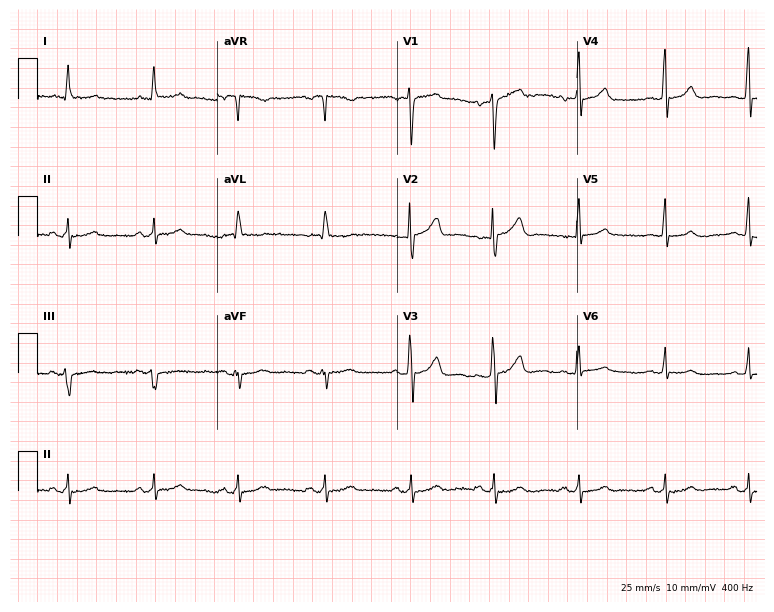
Standard 12-lead ECG recorded from a 62-year-old male patient (7.3-second recording at 400 Hz). Read as a normal ECG.